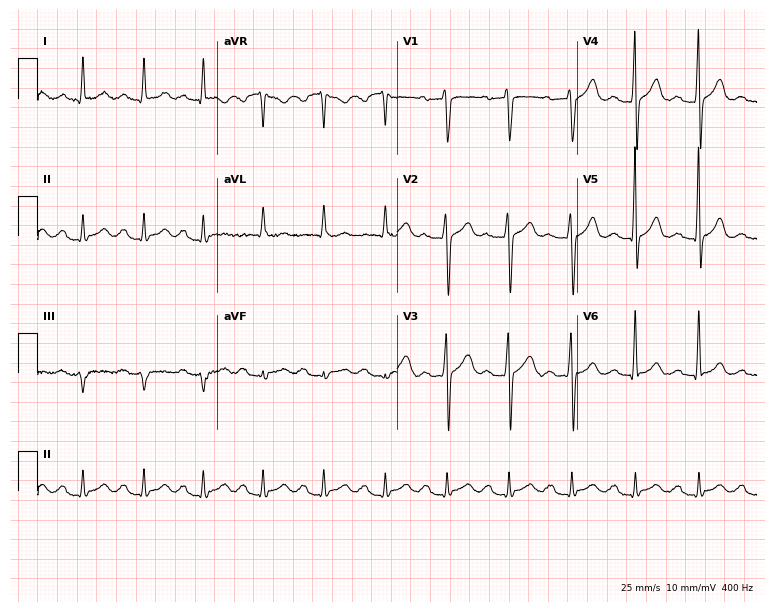
12-lead ECG from a 61-year-old male. No first-degree AV block, right bundle branch block, left bundle branch block, sinus bradycardia, atrial fibrillation or sinus tachycardia recorded for this tracing. Only these six findings were labelled.